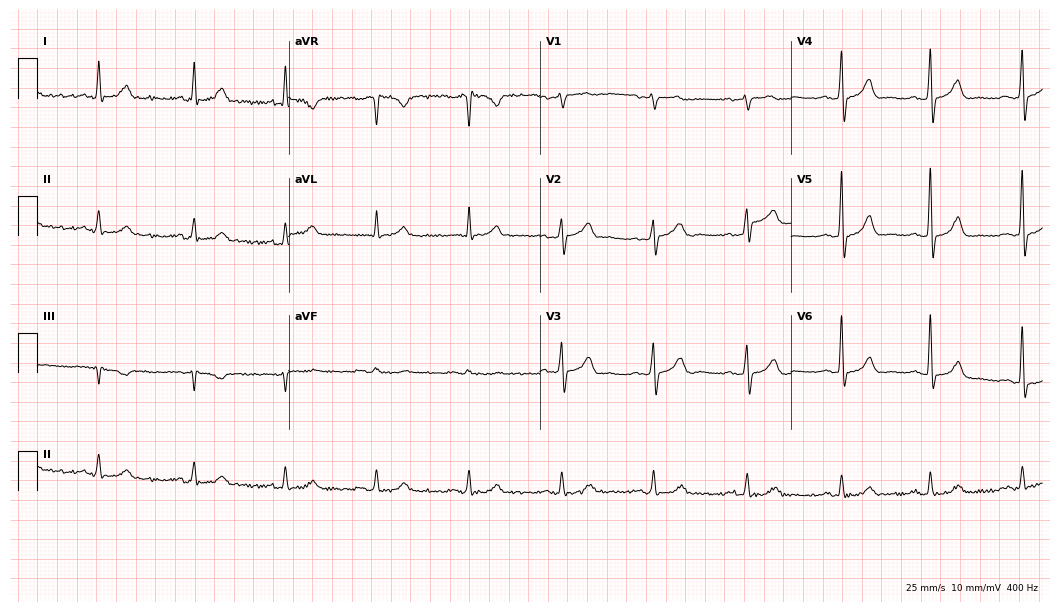
Resting 12-lead electrocardiogram (10.2-second recording at 400 Hz). Patient: a 58-year-old male. Read as a normal ECG.